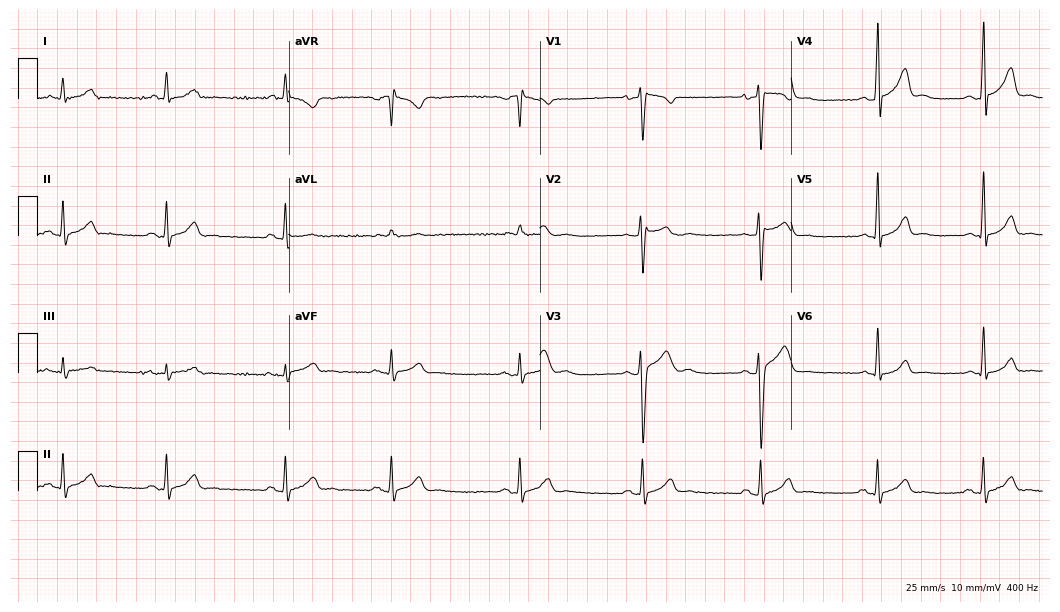
ECG (10.2-second recording at 400 Hz) — a man, 30 years old. Findings include sinus bradycardia (a sinus rate of 50 beats per minute or less).